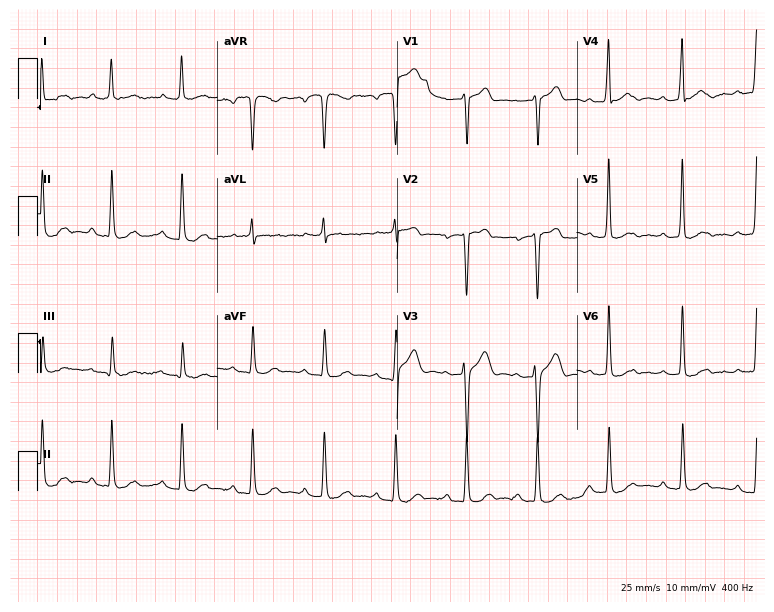
Resting 12-lead electrocardiogram (7.3-second recording at 400 Hz). Patient: a female, 57 years old. None of these six findings is recorded: first-degree AV block, right bundle branch block (RBBB), left bundle branch block (LBBB), sinus bradycardia, atrial fibrillation (AF), sinus tachycardia. Other findings, if any, are not listed.